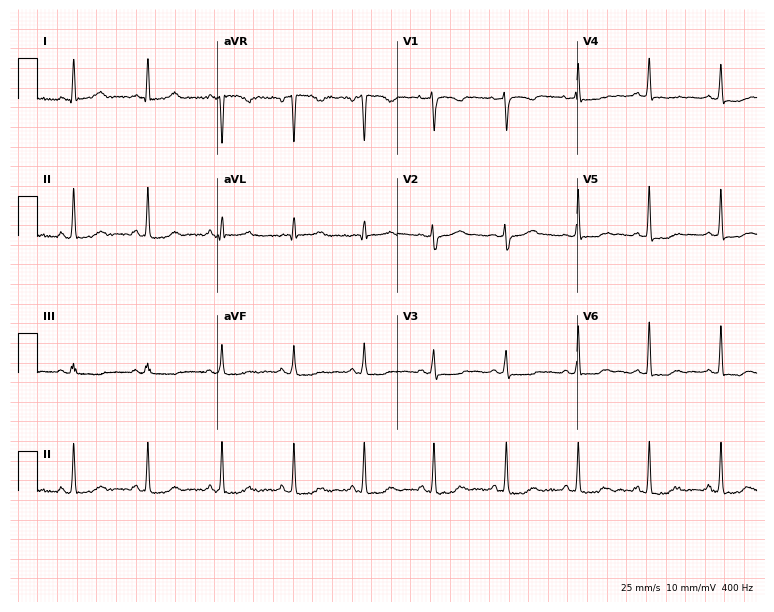
12-lead ECG from a woman, 38 years old. Screened for six findings — first-degree AV block, right bundle branch block, left bundle branch block, sinus bradycardia, atrial fibrillation, sinus tachycardia — none is recorded. Only these six findings were labelled.